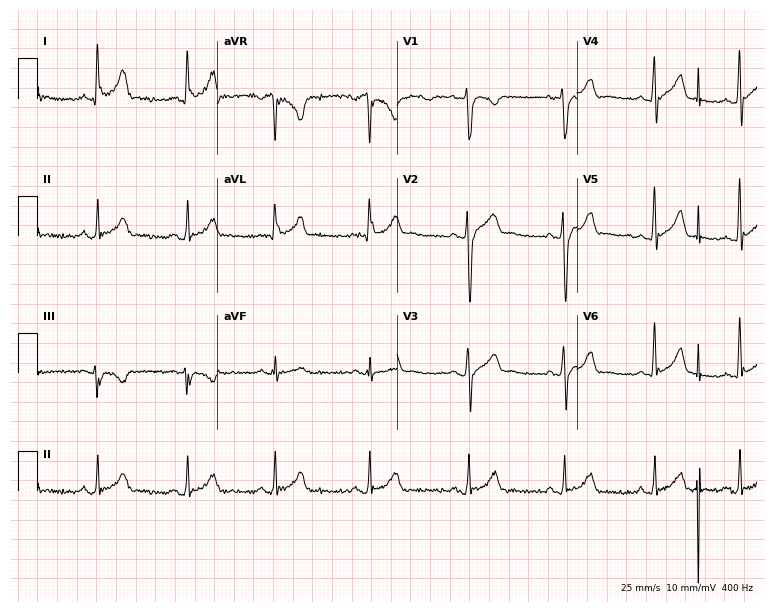
Electrocardiogram (7.3-second recording at 400 Hz), a male patient, 28 years old. Overall reading on record: normal ECG.